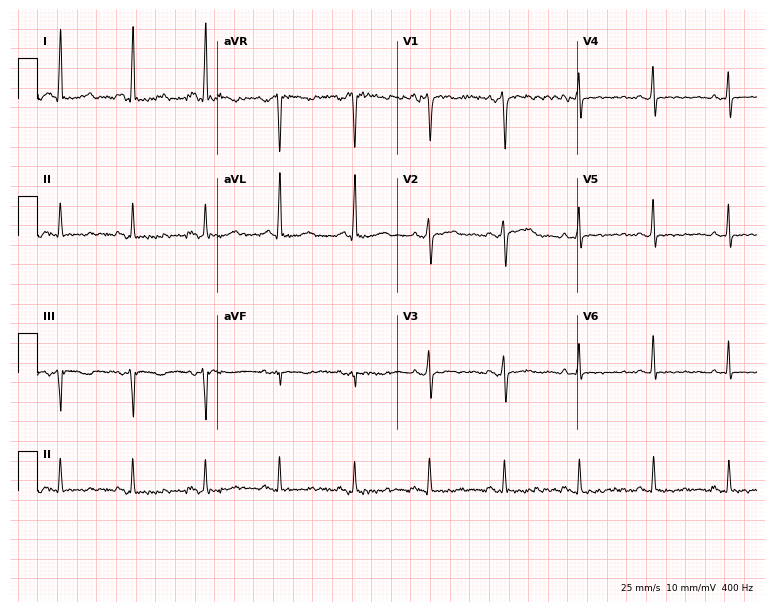
ECG — a female, 48 years old. Labelled as a normal ECG.